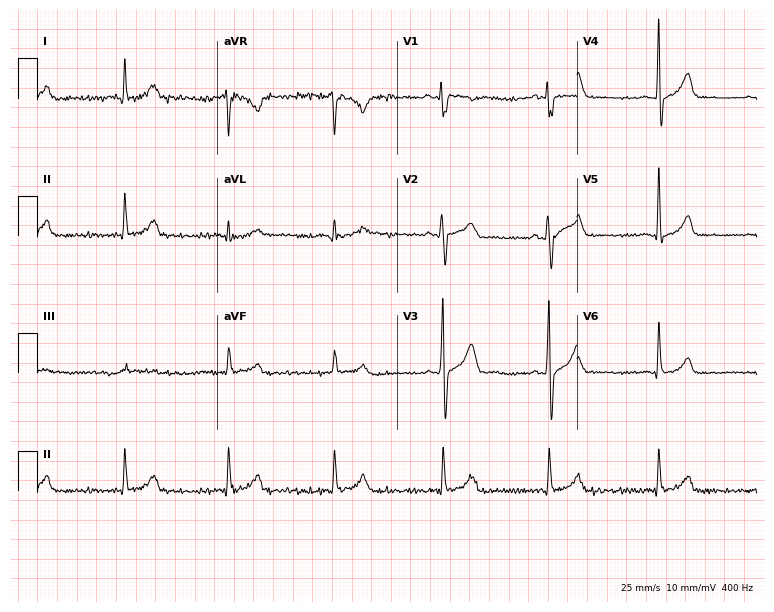
12-lead ECG from a male patient, 37 years old (7.3-second recording at 400 Hz). No first-degree AV block, right bundle branch block (RBBB), left bundle branch block (LBBB), sinus bradycardia, atrial fibrillation (AF) or sinus tachycardia recorded for this tracing. Other findings, if any, are not listed.